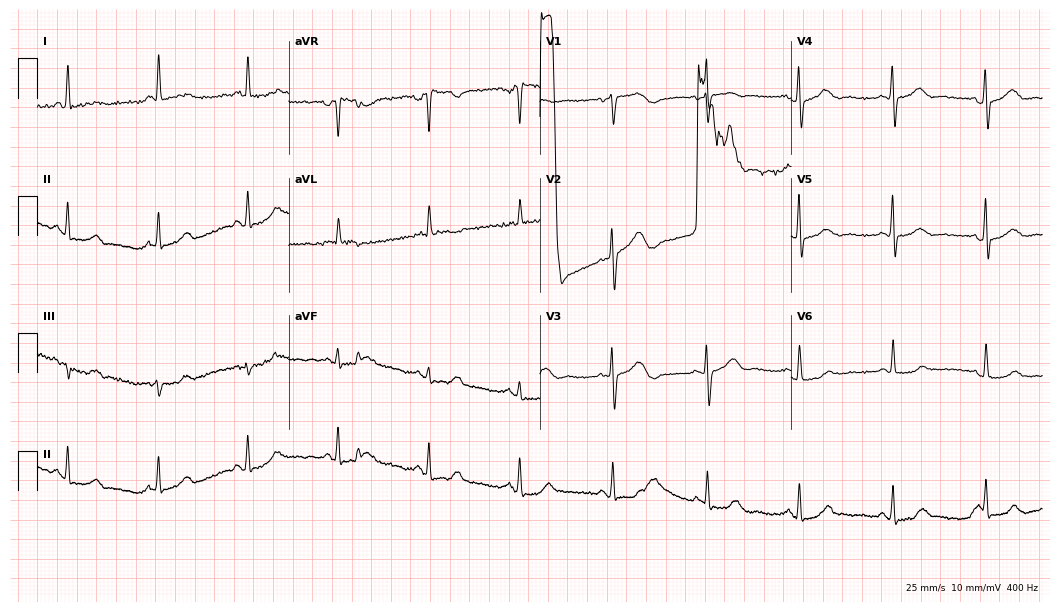
12-lead ECG from a female, 61 years old (10.2-second recording at 400 Hz). No first-degree AV block, right bundle branch block, left bundle branch block, sinus bradycardia, atrial fibrillation or sinus tachycardia recorded for this tracing. Findings outside these six are not listed.